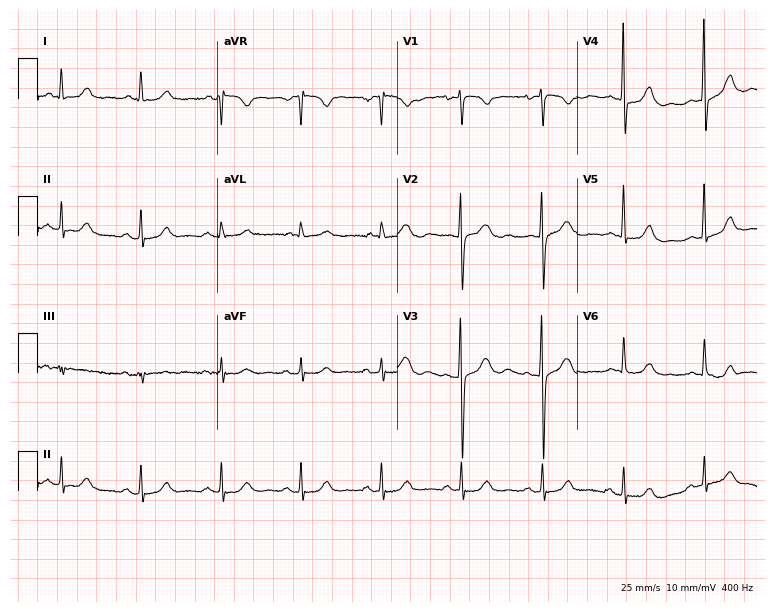
Resting 12-lead electrocardiogram. Patient: a female, 80 years old. Read as a normal ECG.